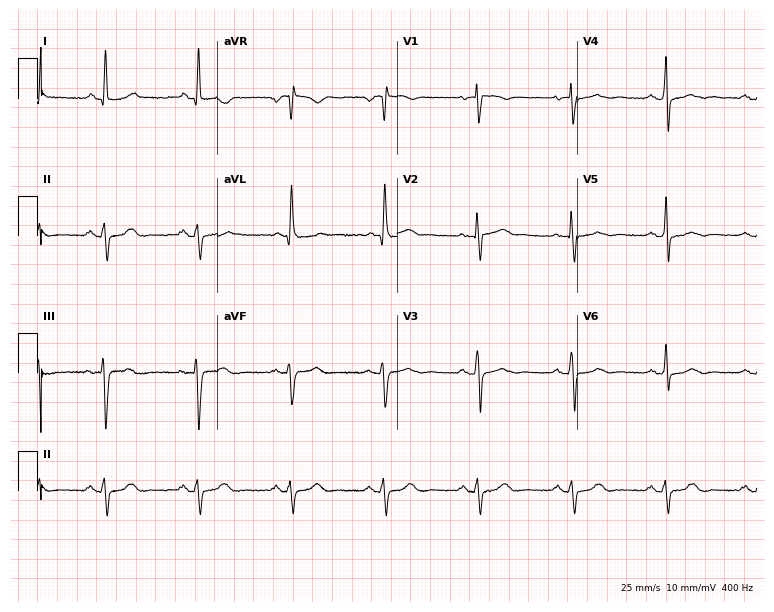
12-lead ECG from a female, 68 years old (7.3-second recording at 400 Hz). No first-degree AV block, right bundle branch block, left bundle branch block, sinus bradycardia, atrial fibrillation or sinus tachycardia recorded for this tracing. Only these six findings were labelled.